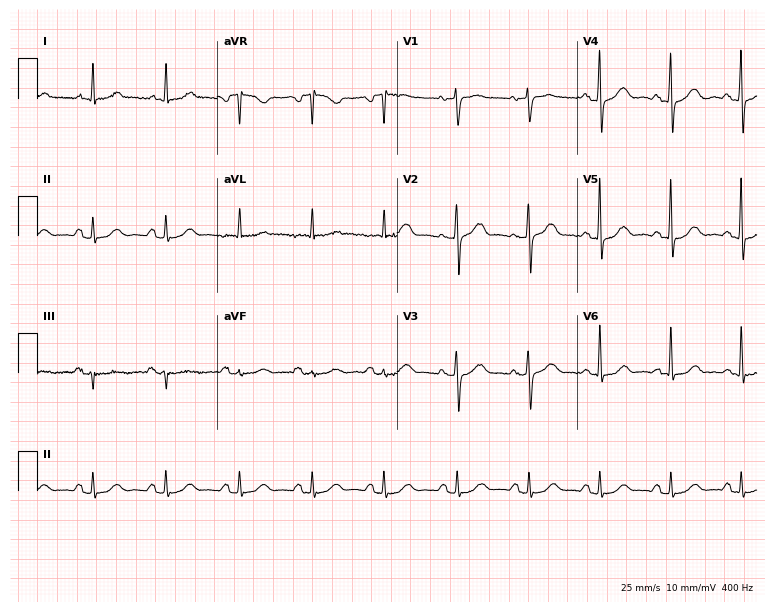
12-lead ECG (7.3-second recording at 400 Hz) from a woman, 56 years old. Labelled as a normal ECG.